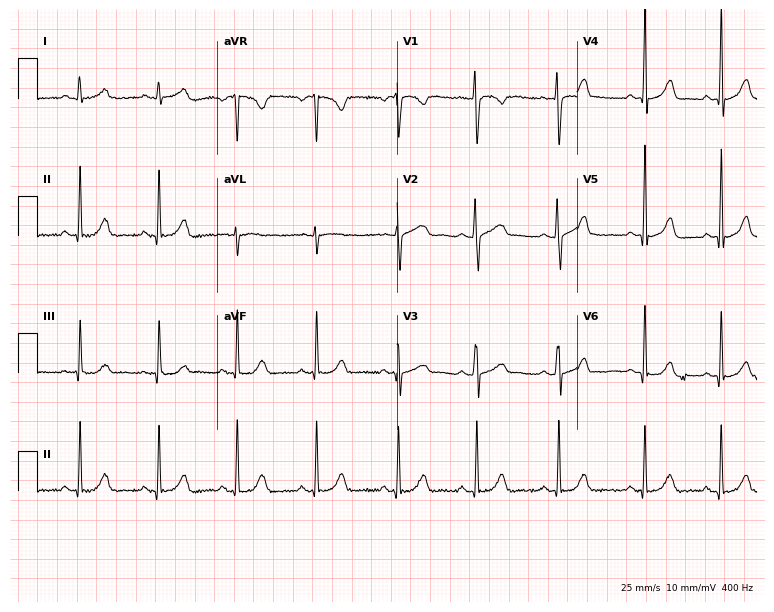
Standard 12-lead ECG recorded from a 26-year-old female patient. None of these six findings is recorded: first-degree AV block, right bundle branch block (RBBB), left bundle branch block (LBBB), sinus bradycardia, atrial fibrillation (AF), sinus tachycardia. Other findings, if any, are not listed.